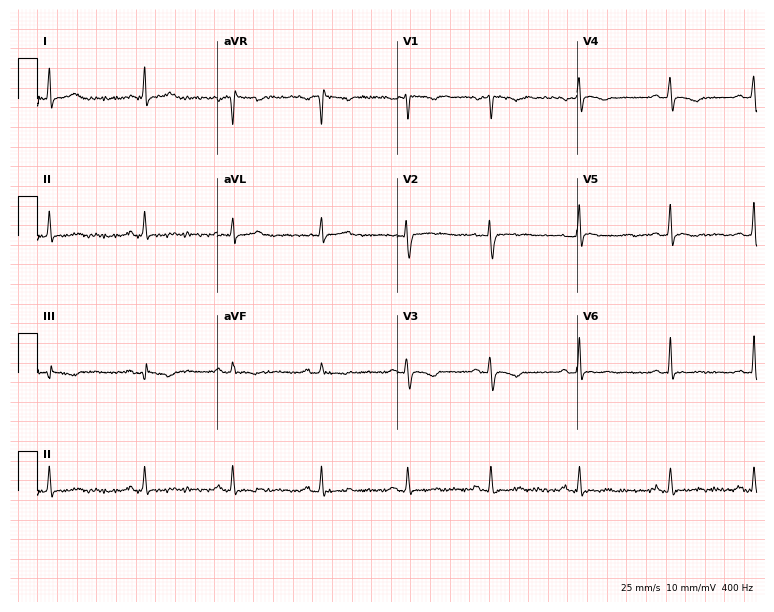
ECG (7.3-second recording at 400 Hz) — a 34-year-old female. Screened for six findings — first-degree AV block, right bundle branch block, left bundle branch block, sinus bradycardia, atrial fibrillation, sinus tachycardia — none is recorded. Findings outside these six are not listed.